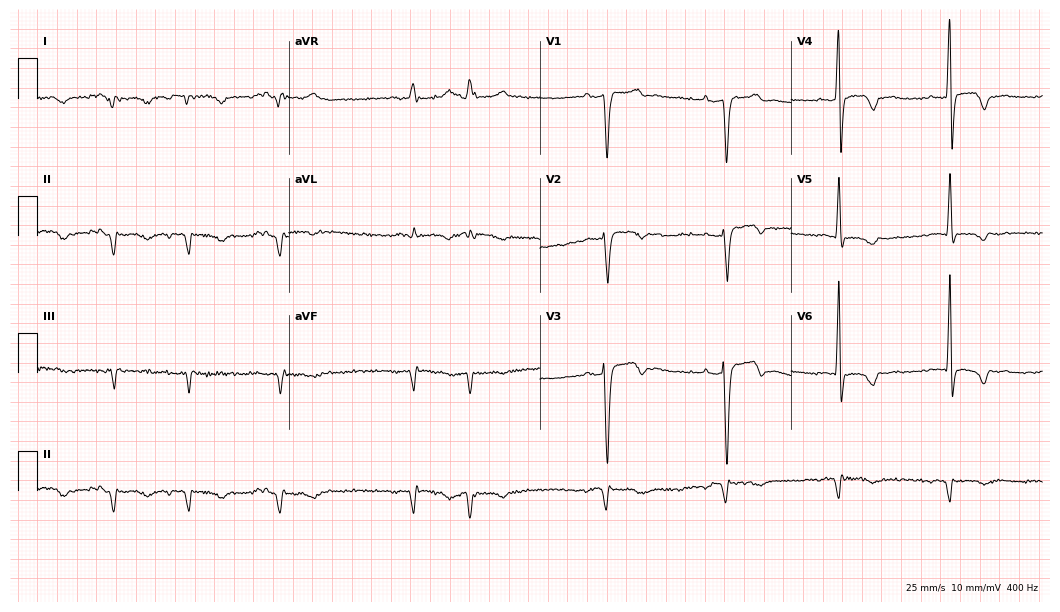
ECG (10.2-second recording at 400 Hz) — a 64-year-old male. Screened for six findings — first-degree AV block, right bundle branch block, left bundle branch block, sinus bradycardia, atrial fibrillation, sinus tachycardia — none is recorded. Other findings, if any, are not listed.